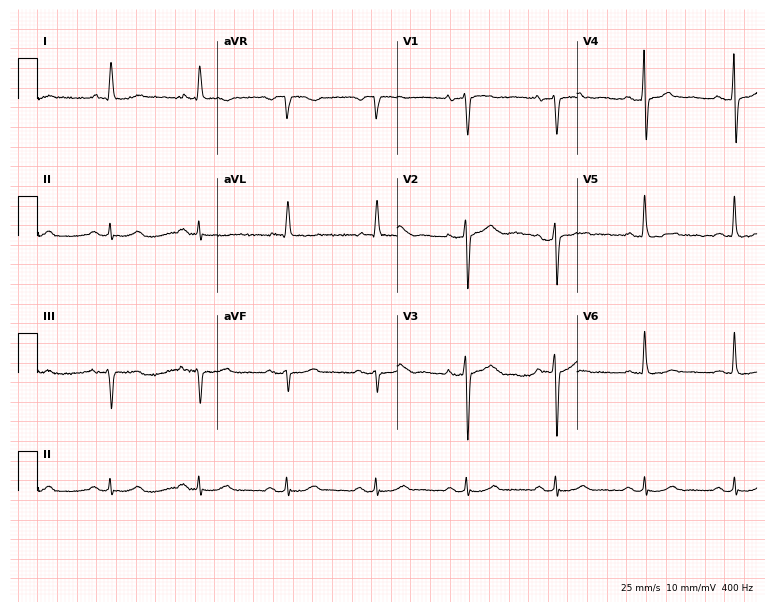
Electrocardiogram, a 70-year-old male. Of the six screened findings (first-degree AV block, right bundle branch block, left bundle branch block, sinus bradycardia, atrial fibrillation, sinus tachycardia), none is recorded.